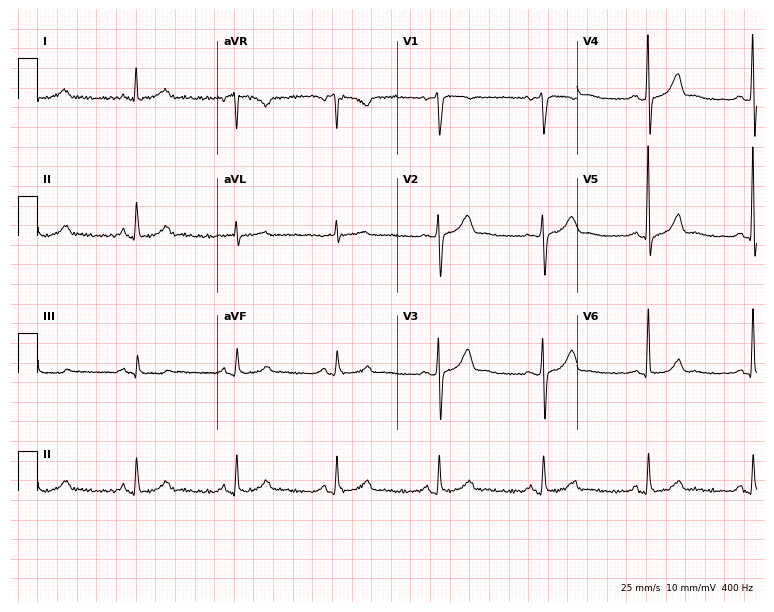
Standard 12-lead ECG recorded from a 67-year-old man. None of these six findings is recorded: first-degree AV block, right bundle branch block (RBBB), left bundle branch block (LBBB), sinus bradycardia, atrial fibrillation (AF), sinus tachycardia. Other findings, if any, are not listed.